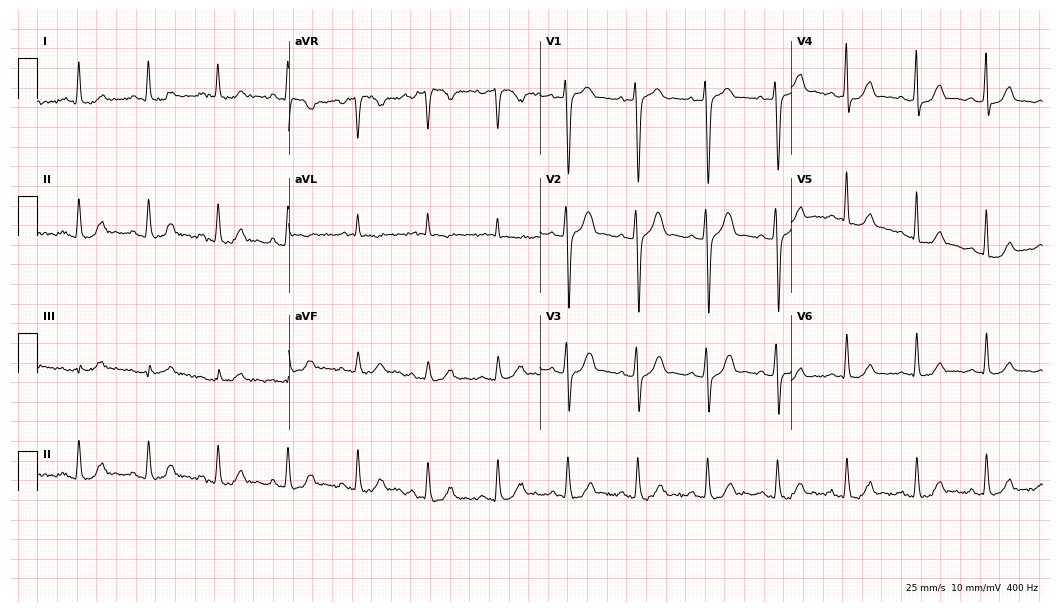
Electrocardiogram (10.2-second recording at 400 Hz), a male, 65 years old. Of the six screened findings (first-degree AV block, right bundle branch block, left bundle branch block, sinus bradycardia, atrial fibrillation, sinus tachycardia), none is recorded. Only these six findings were labelled.